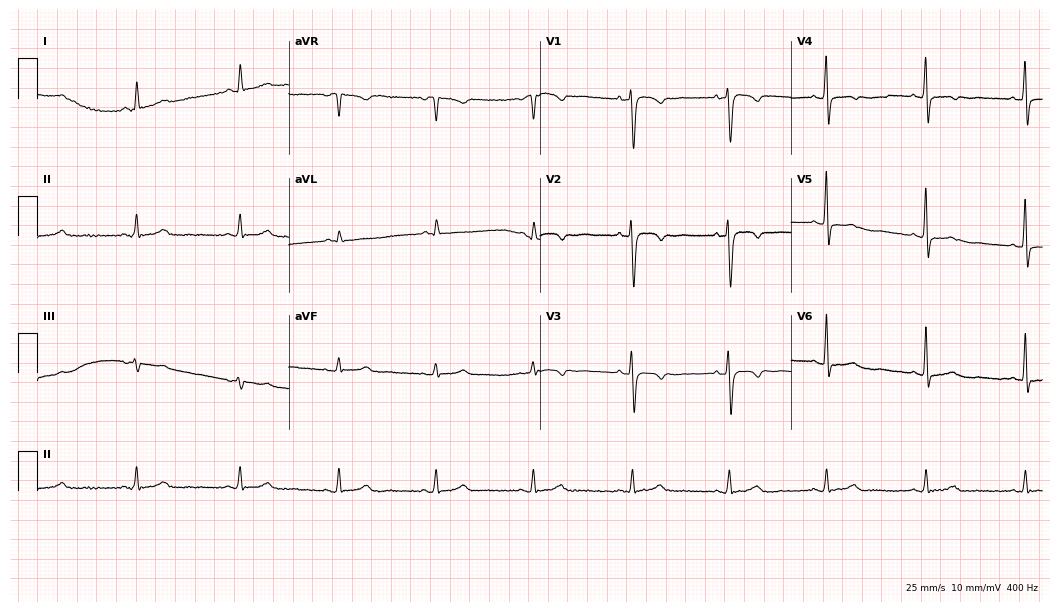
ECG — an 84-year-old female. Screened for six findings — first-degree AV block, right bundle branch block, left bundle branch block, sinus bradycardia, atrial fibrillation, sinus tachycardia — none is recorded.